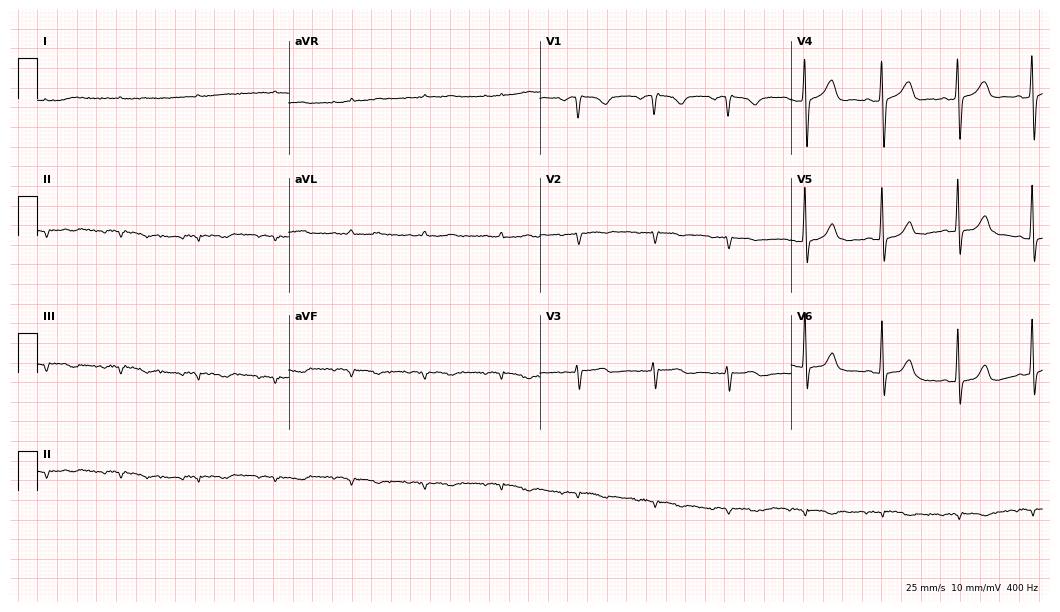
12-lead ECG from an 80-year-old female (10.2-second recording at 400 Hz). No first-degree AV block, right bundle branch block, left bundle branch block, sinus bradycardia, atrial fibrillation or sinus tachycardia recorded for this tracing. Findings outside these six are not listed.